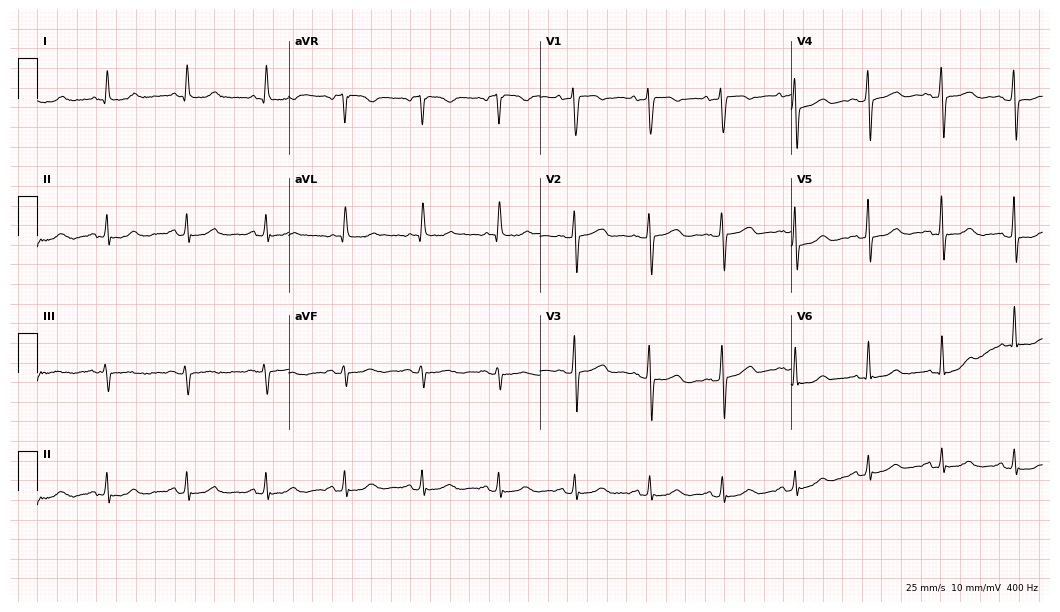
Resting 12-lead electrocardiogram. Patient: a 66-year-old female. Read as a normal ECG.